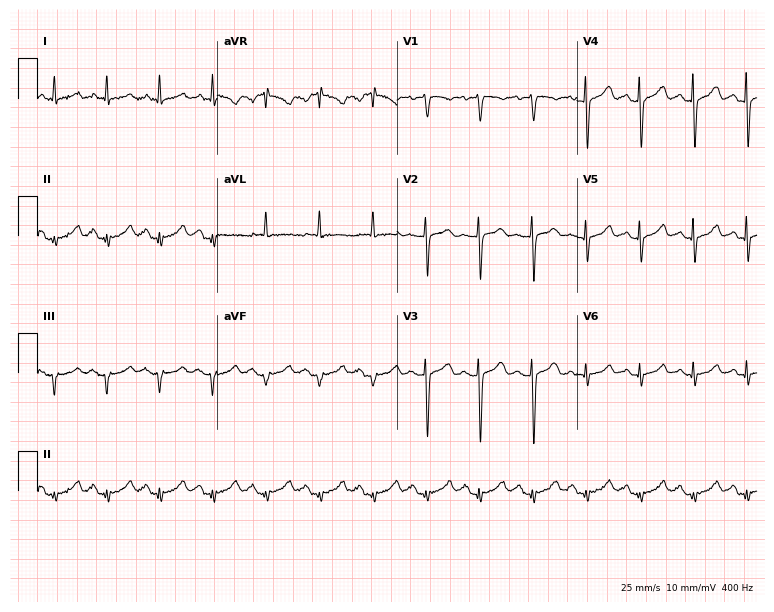
ECG (7.3-second recording at 400 Hz) — a woman, 63 years old. Findings include sinus tachycardia (a sinus rate of 100 beats per minute or more).